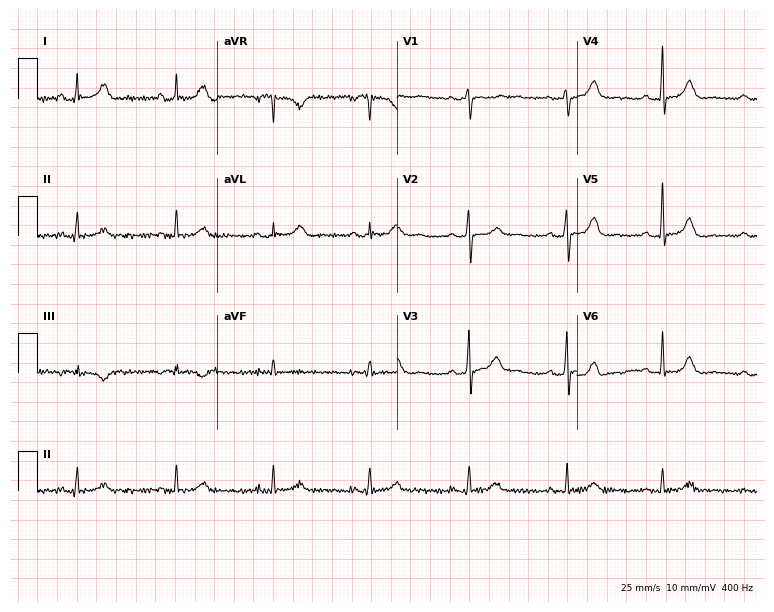
Resting 12-lead electrocardiogram (7.3-second recording at 400 Hz). Patient: a 69-year-old female. None of these six findings is recorded: first-degree AV block, right bundle branch block, left bundle branch block, sinus bradycardia, atrial fibrillation, sinus tachycardia.